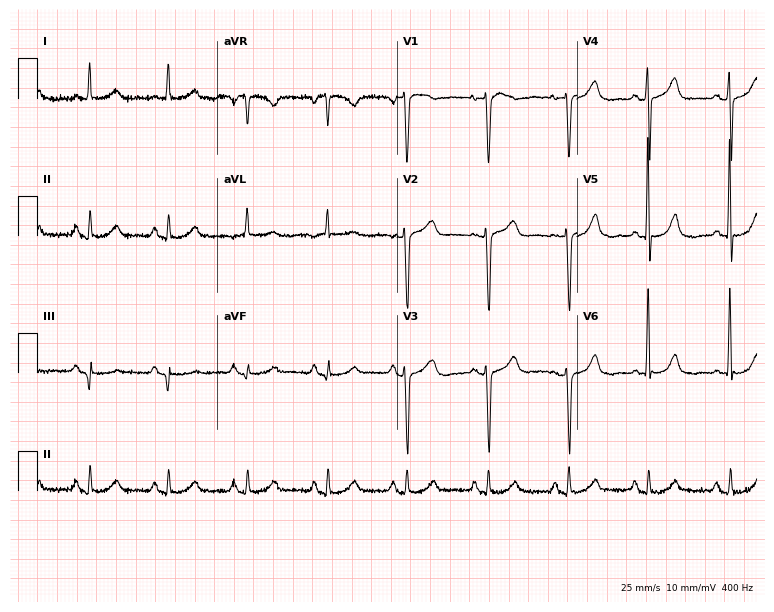
12-lead ECG (7.3-second recording at 400 Hz) from a 74-year-old male. Screened for six findings — first-degree AV block, right bundle branch block, left bundle branch block, sinus bradycardia, atrial fibrillation, sinus tachycardia — none is recorded.